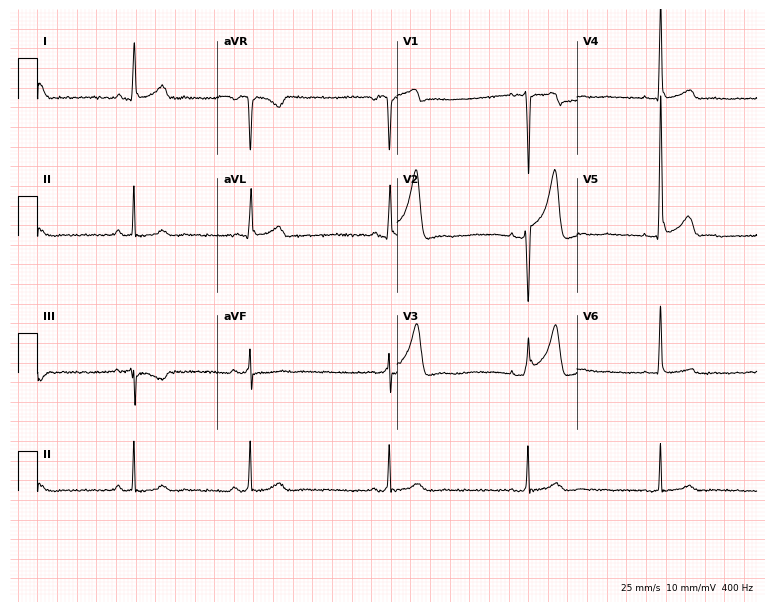
12-lead ECG from a 45-year-old male. Shows sinus bradycardia (a sinus rate of 50 beats per minute or less).